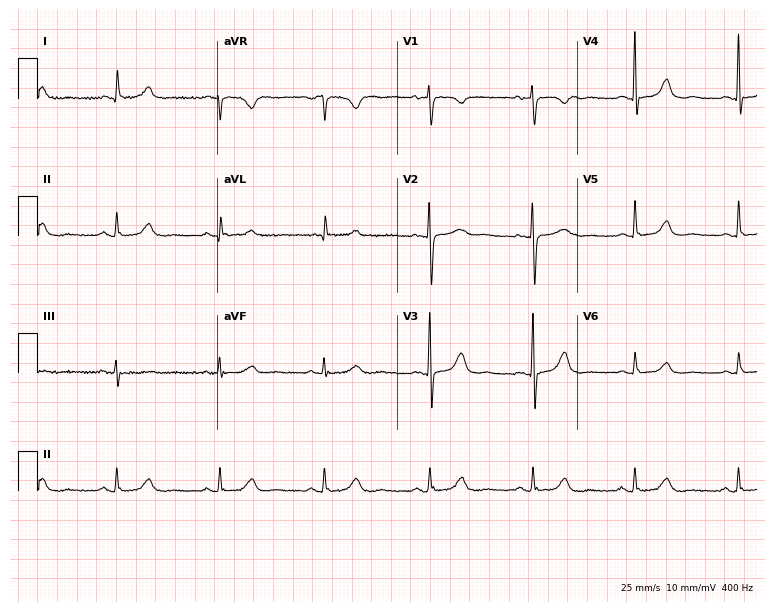
ECG (7.3-second recording at 400 Hz) — an 83-year-old woman. Labelled as a normal ECG.